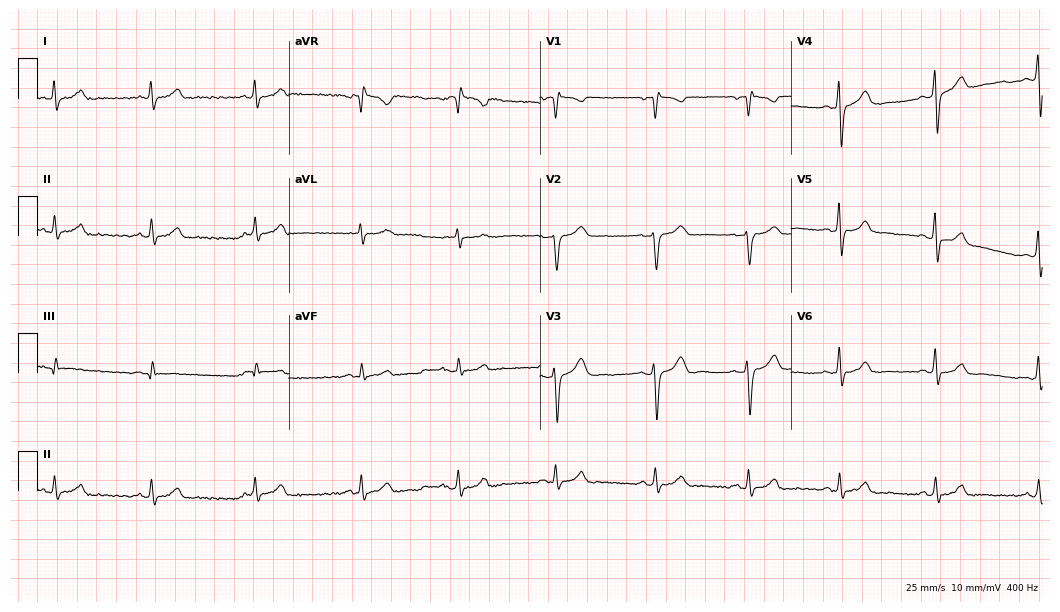
Standard 12-lead ECG recorded from a male, 37 years old (10.2-second recording at 400 Hz). None of these six findings is recorded: first-degree AV block, right bundle branch block (RBBB), left bundle branch block (LBBB), sinus bradycardia, atrial fibrillation (AF), sinus tachycardia. Findings outside these six are not listed.